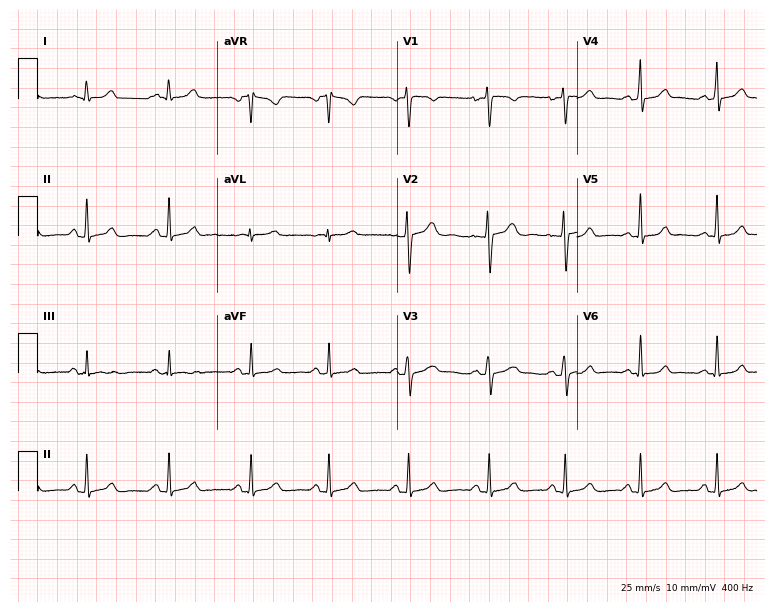
ECG (7.3-second recording at 400 Hz) — a female, 28 years old. Labelled as a normal ECG.